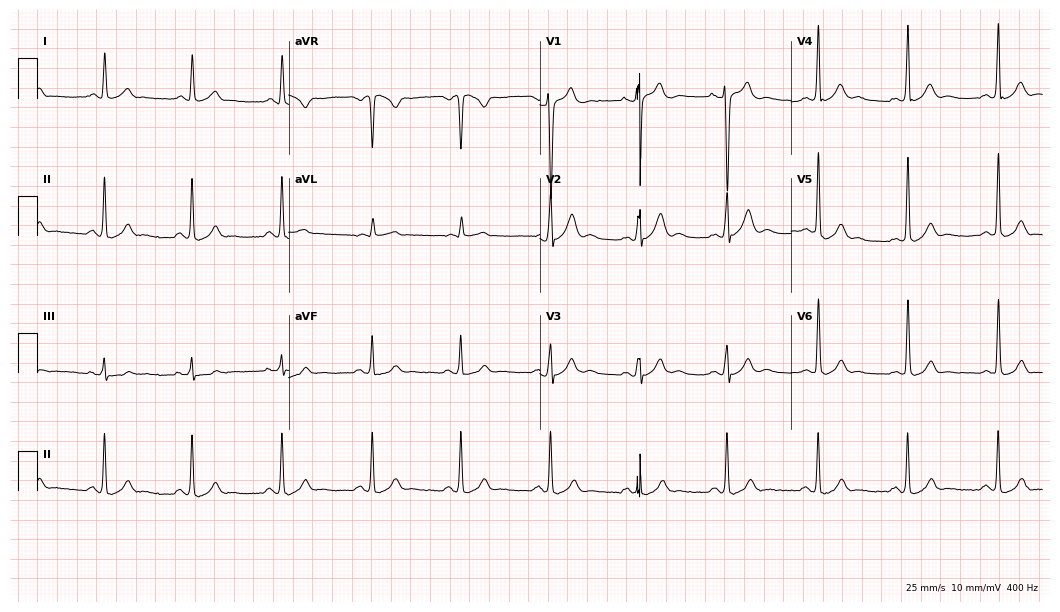
12-lead ECG from a 30-year-old male patient. Recorded interpretation: within normal limits.